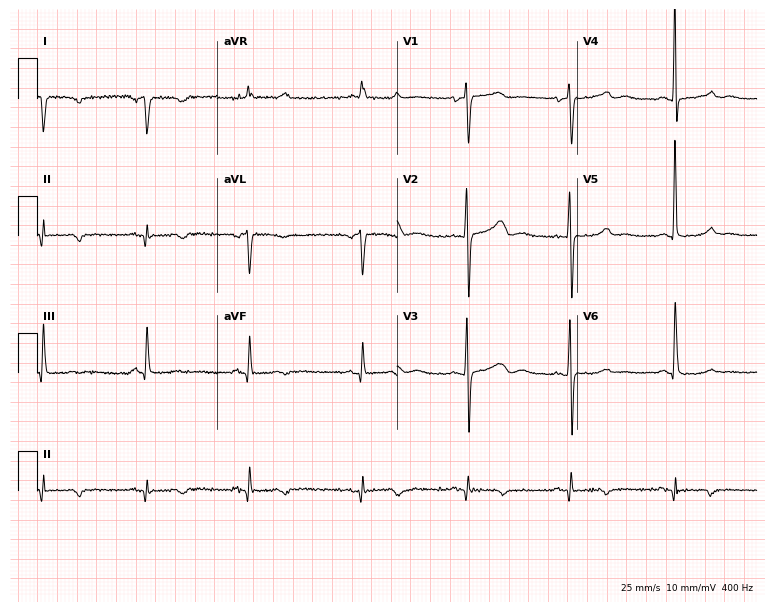
12-lead ECG from a 73-year-old female patient. No first-degree AV block, right bundle branch block, left bundle branch block, sinus bradycardia, atrial fibrillation or sinus tachycardia recorded for this tracing. Other findings, if any, are not listed.